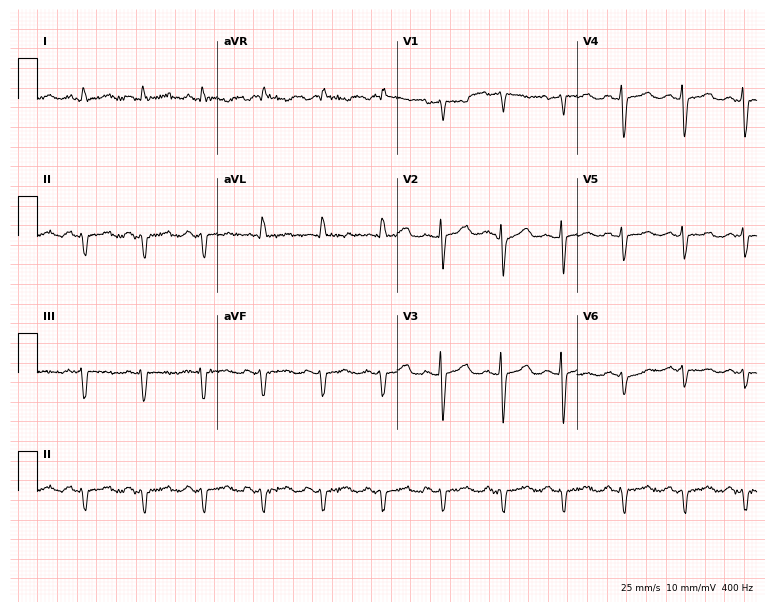
12-lead ECG (7.3-second recording at 400 Hz) from a female, 52 years old. Screened for six findings — first-degree AV block, right bundle branch block, left bundle branch block, sinus bradycardia, atrial fibrillation, sinus tachycardia — none is recorded. Other findings, if any, are not listed.